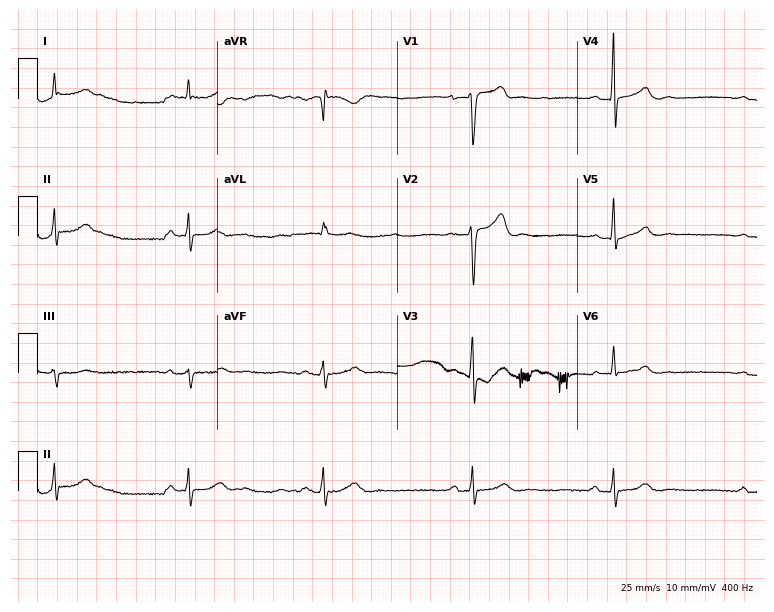
Electrocardiogram, a male patient, 35 years old. Interpretation includes sinus bradycardia (a sinus rate of 50 beats per minute or less).